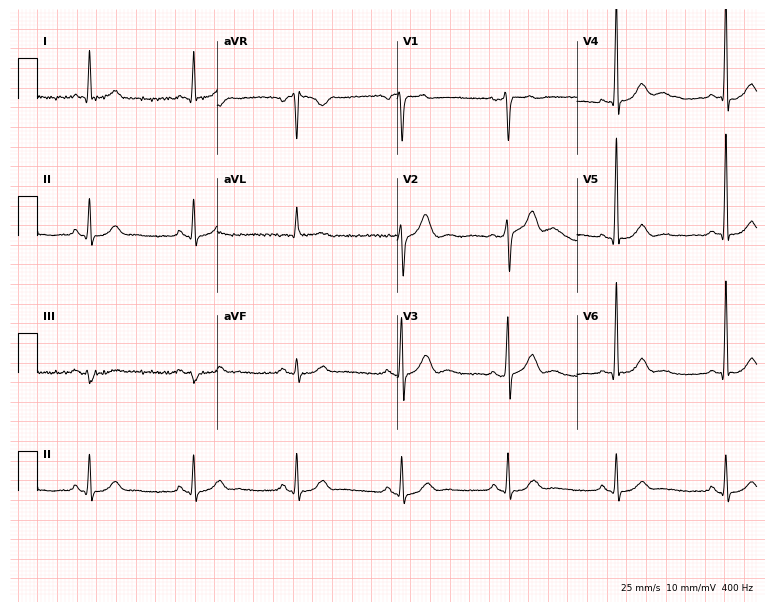
ECG (7.3-second recording at 400 Hz) — a male, 52 years old. Labelled as a normal ECG.